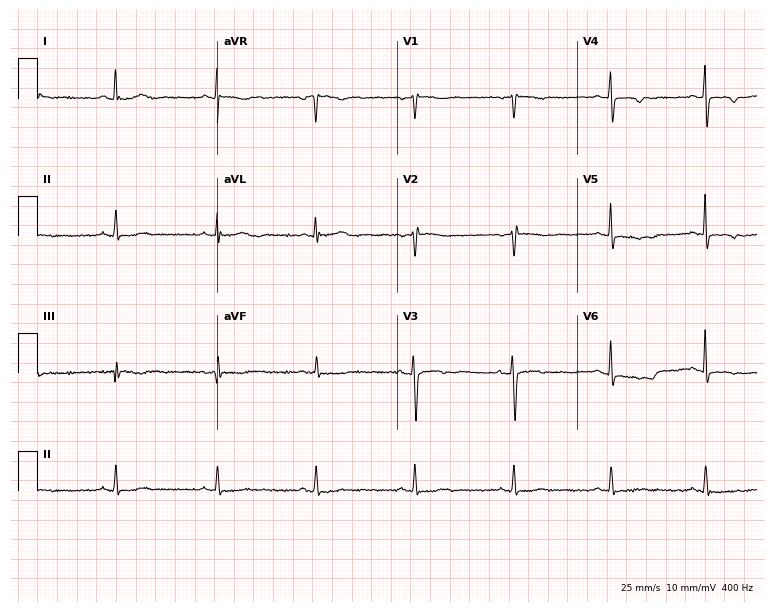
Electrocardiogram (7.3-second recording at 400 Hz), a woman, 58 years old. Of the six screened findings (first-degree AV block, right bundle branch block, left bundle branch block, sinus bradycardia, atrial fibrillation, sinus tachycardia), none is recorded.